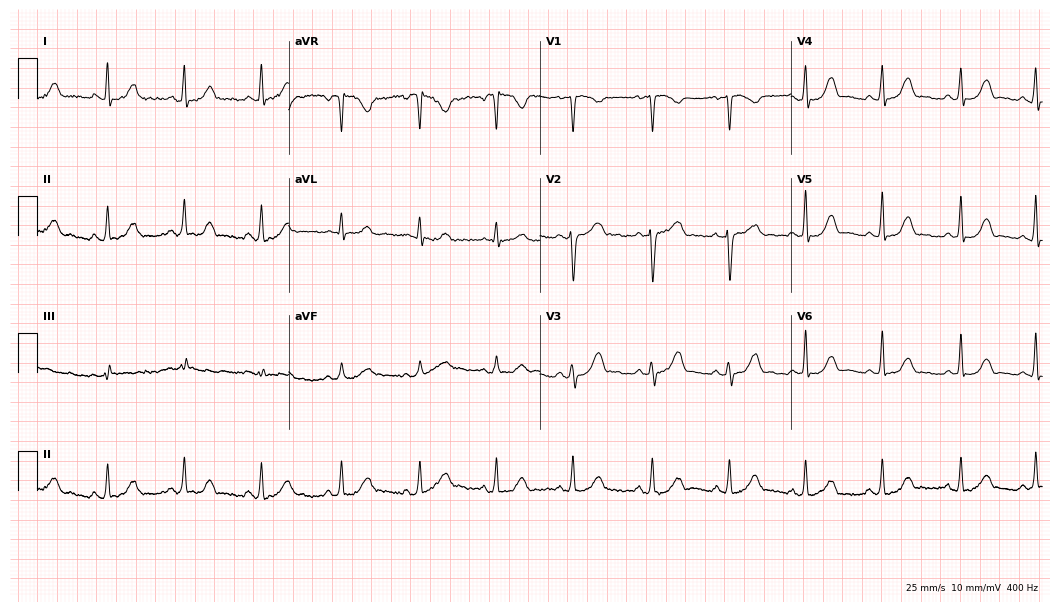
12-lead ECG from a female patient, 48 years old. Recorded interpretation: within normal limits.